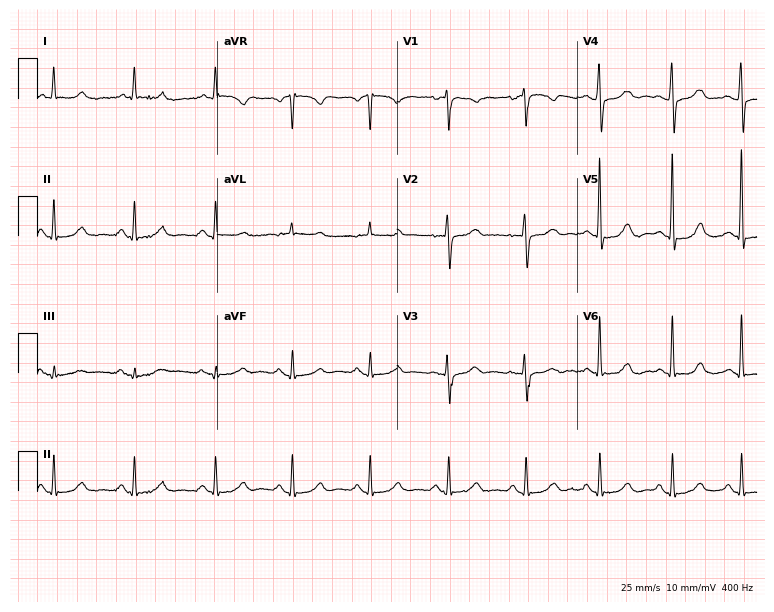
ECG (7.3-second recording at 400 Hz) — a female patient, 58 years old. Labelled as a normal ECG.